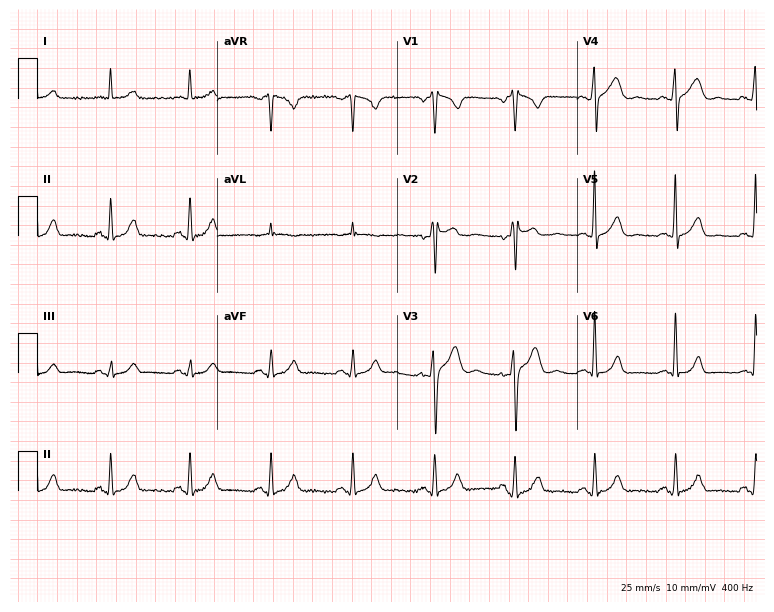
Resting 12-lead electrocardiogram (7.3-second recording at 400 Hz). Patient: a male, 36 years old. Read as a normal ECG.